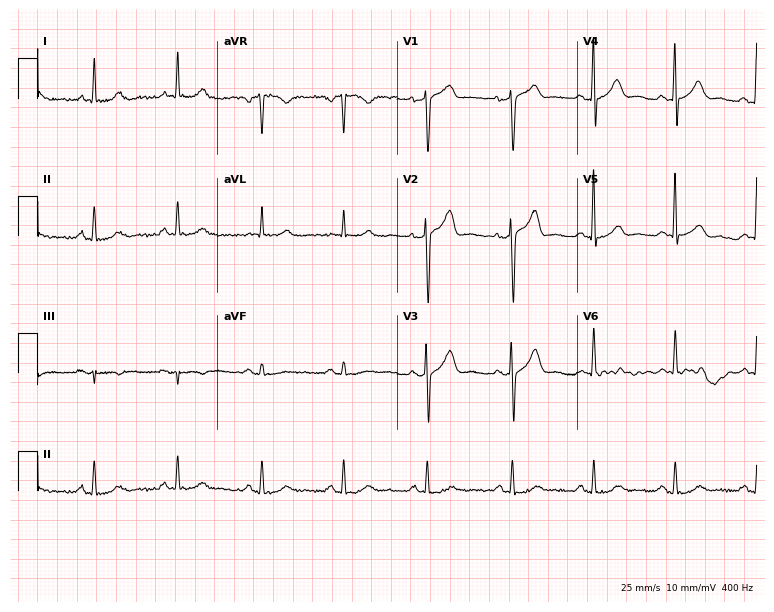
Electrocardiogram, a 79-year-old man. Overall reading on record: normal ECG.